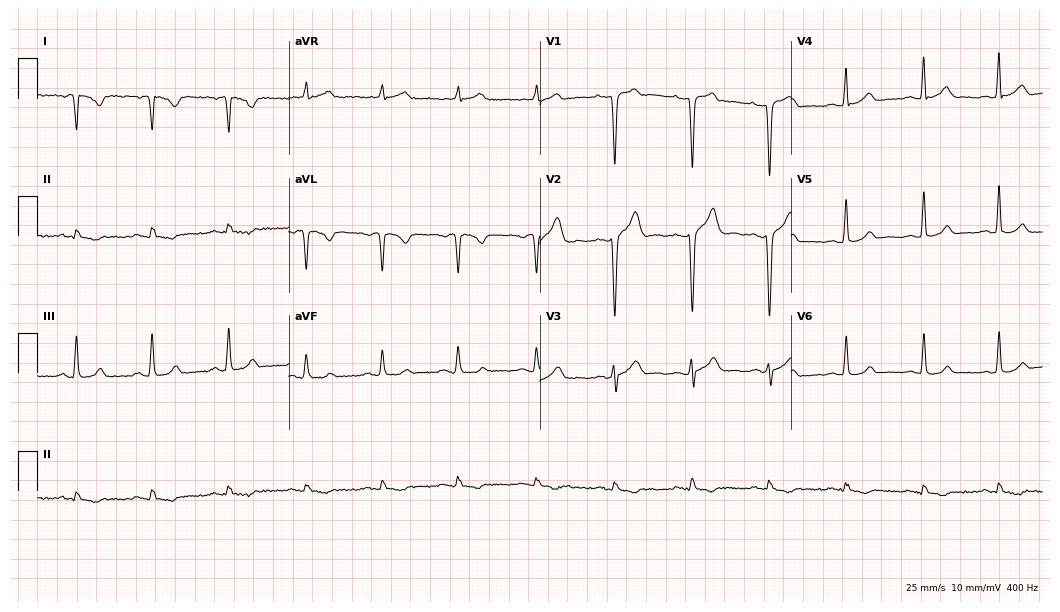
Resting 12-lead electrocardiogram. Patient: a male, 37 years old. None of these six findings is recorded: first-degree AV block, right bundle branch block, left bundle branch block, sinus bradycardia, atrial fibrillation, sinus tachycardia. Findings outside these six are not listed.